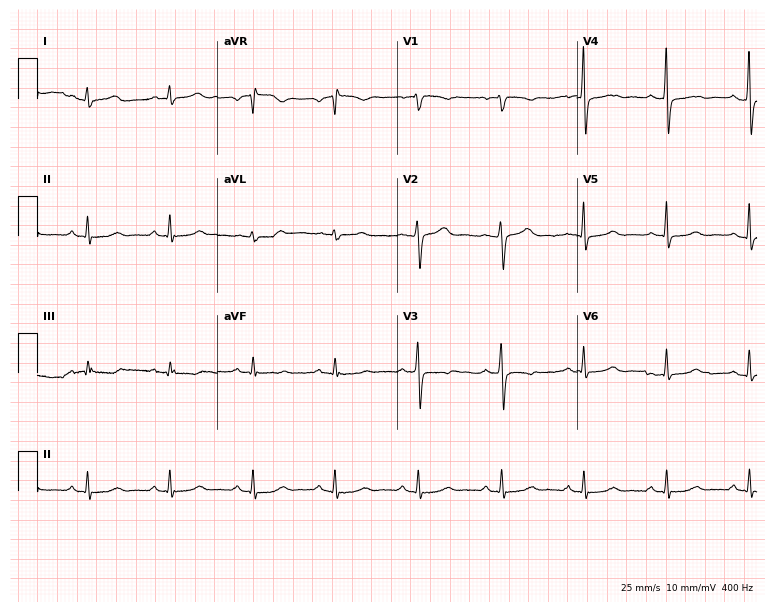
Standard 12-lead ECG recorded from a female, 46 years old. None of these six findings is recorded: first-degree AV block, right bundle branch block (RBBB), left bundle branch block (LBBB), sinus bradycardia, atrial fibrillation (AF), sinus tachycardia.